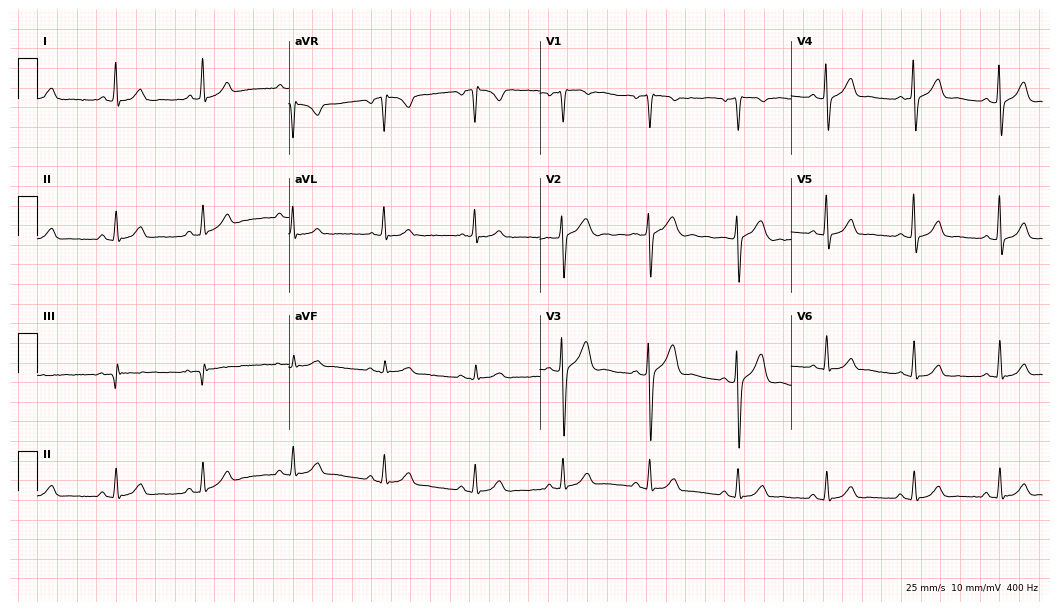
Standard 12-lead ECG recorded from a 56-year-old male (10.2-second recording at 400 Hz). Read as a normal ECG.